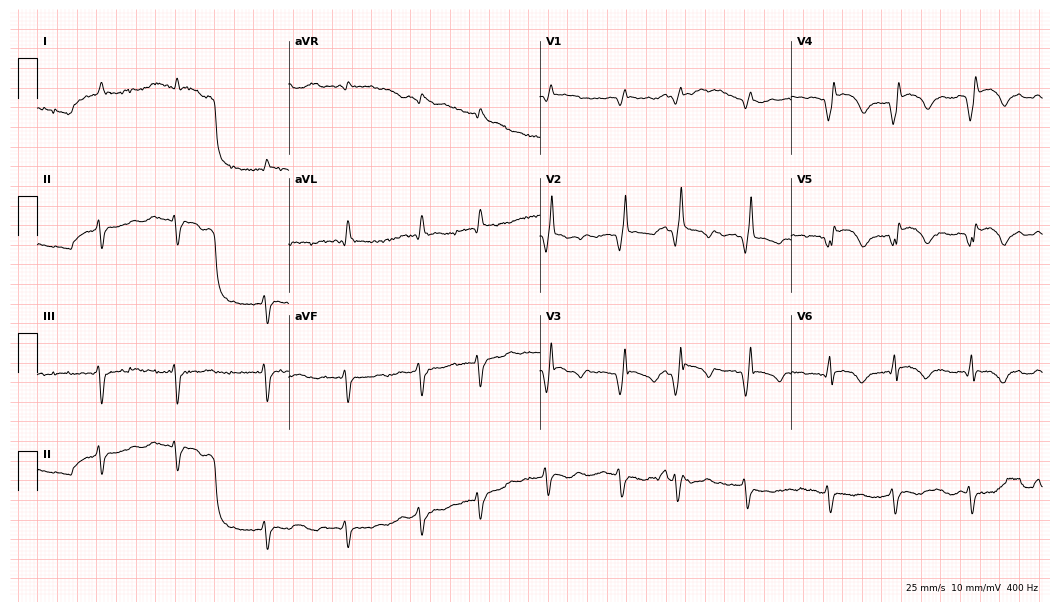
Resting 12-lead electrocardiogram (10.2-second recording at 400 Hz). Patient: a 74-year-old male. None of these six findings is recorded: first-degree AV block, right bundle branch block (RBBB), left bundle branch block (LBBB), sinus bradycardia, atrial fibrillation (AF), sinus tachycardia. Other findings, if any, are not listed.